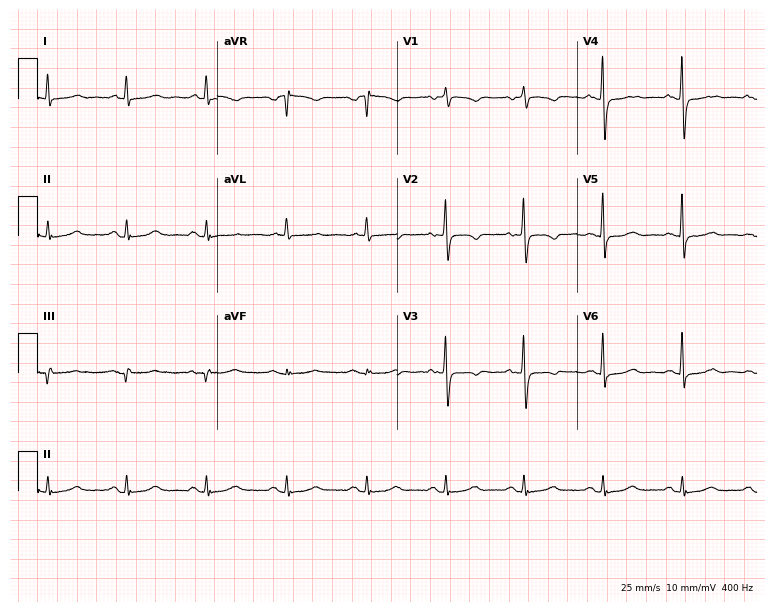
Electrocardiogram (7.3-second recording at 400 Hz), a woman, 75 years old. Of the six screened findings (first-degree AV block, right bundle branch block, left bundle branch block, sinus bradycardia, atrial fibrillation, sinus tachycardia), none is recorded. Findings outside these six are not listed.